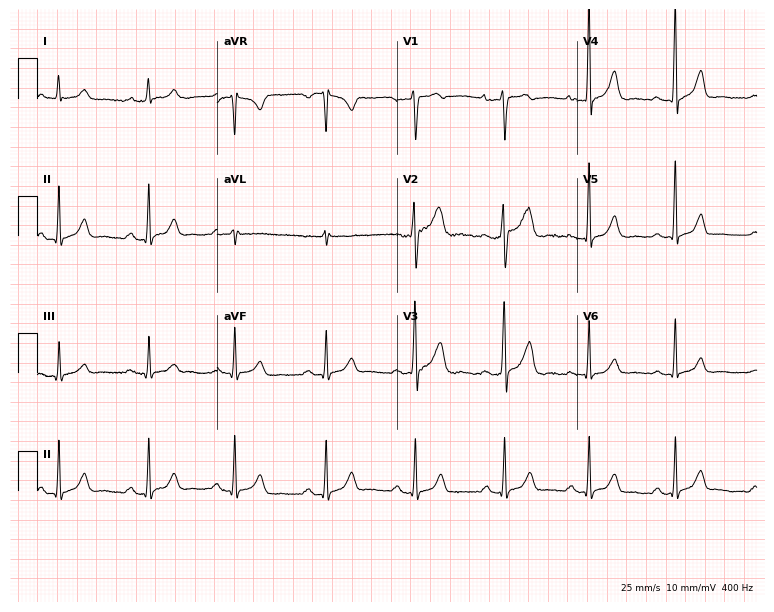
12-lead ECG from a male patient, 41 years old. Labelled as a normal ECG.